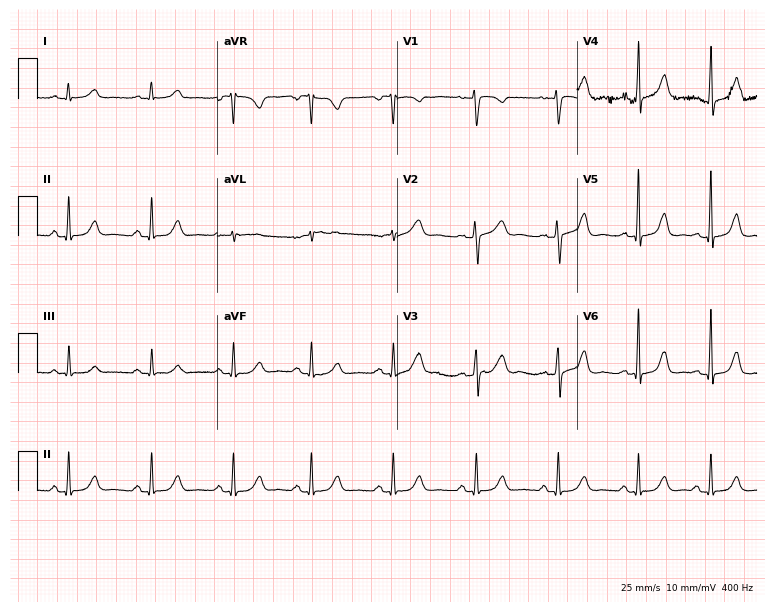
Electrocardiogram, a 51-year-old female patient. Of the six screened findings (first-degree AV block, right bundle branch block, left bundle branch block, sinus bradycardia, atrial fibrillation, sinus tachycardia), none is recorded.